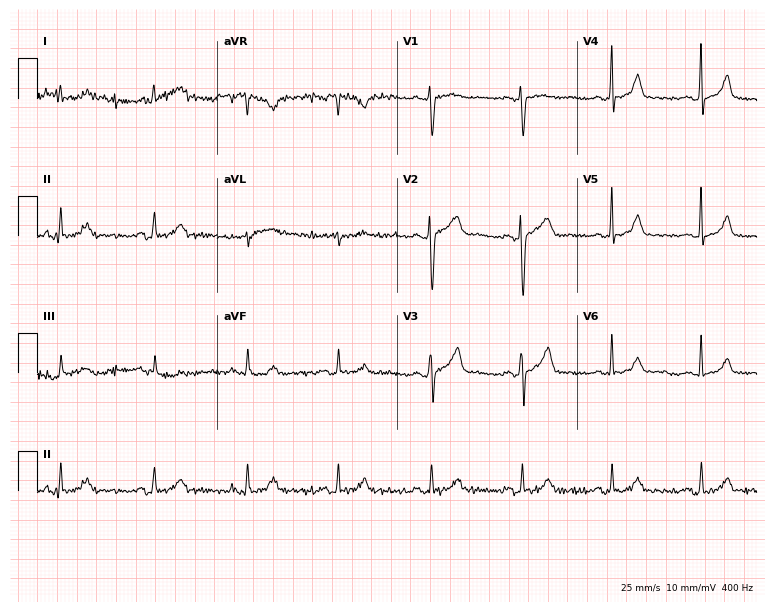
Standard 12-lead ECG recorded from a female patient, 33 years old (7.3-second recording at 400 Hz). Read as a normal ECG.